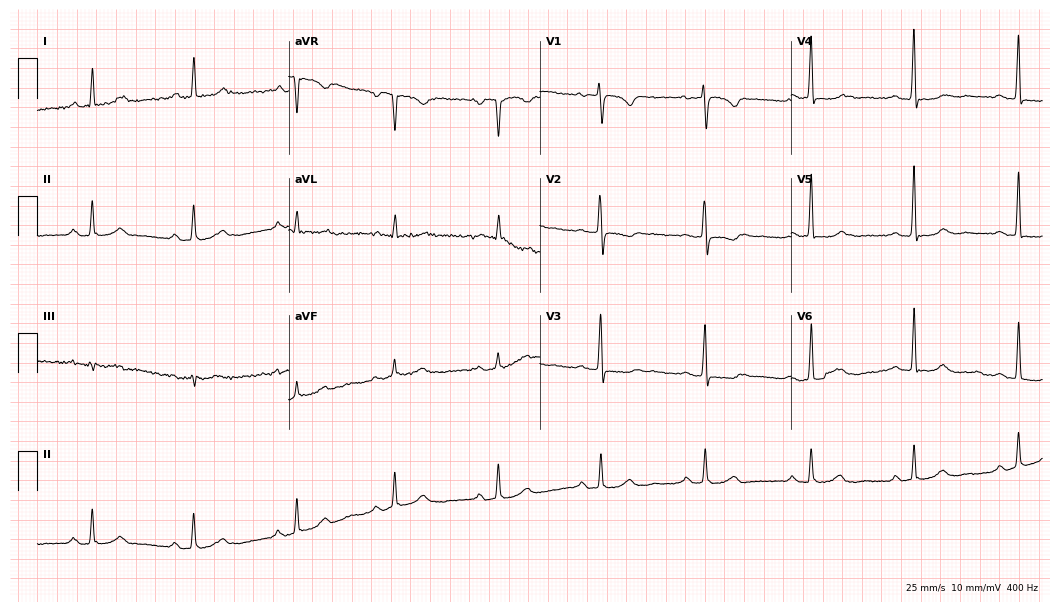
Resting 12-lead electrocardiogram. Patient: a 55-year-old woman. Read as a normal ECG.